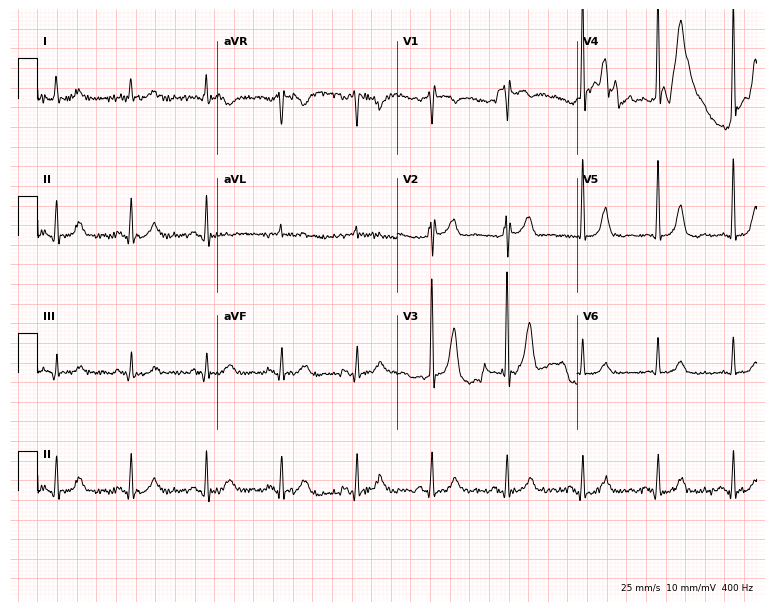
Resting 12-lead electrocardiogram (7.3-second recording at 400 Hz). Patient: a male, 65 years old. Read as a normal ECG.